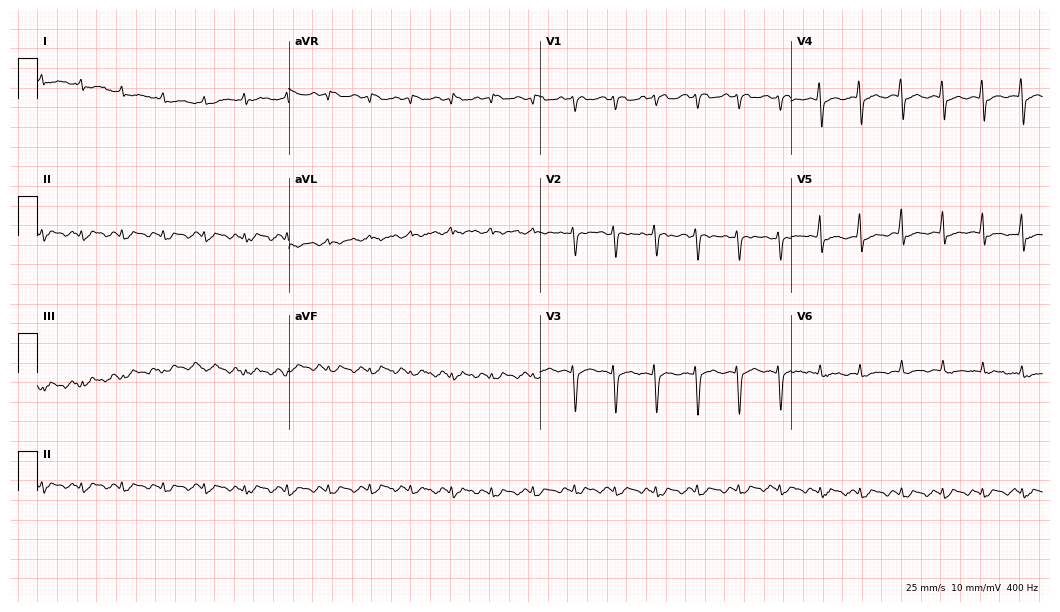
ECG — a 52-year-old male patient. Findings include atrial fibrillation.